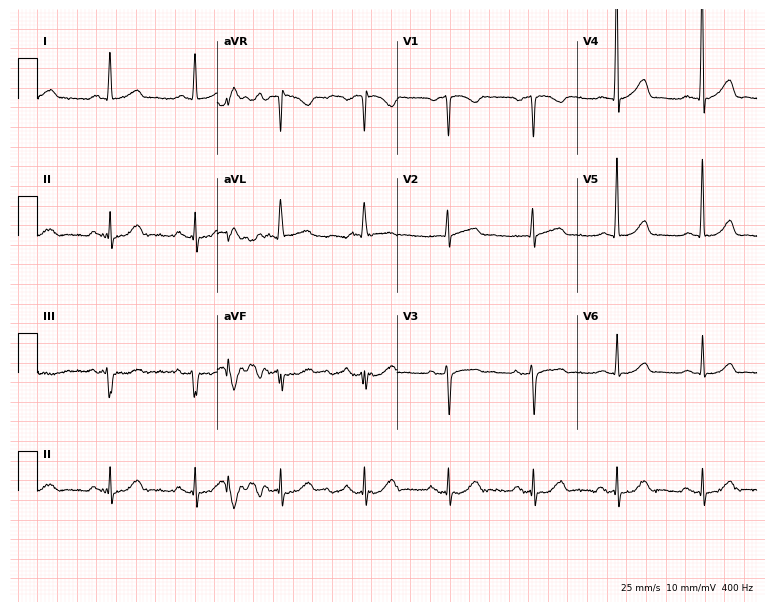
ECG — a 74-year-old man. Labelled as a normal ECG.